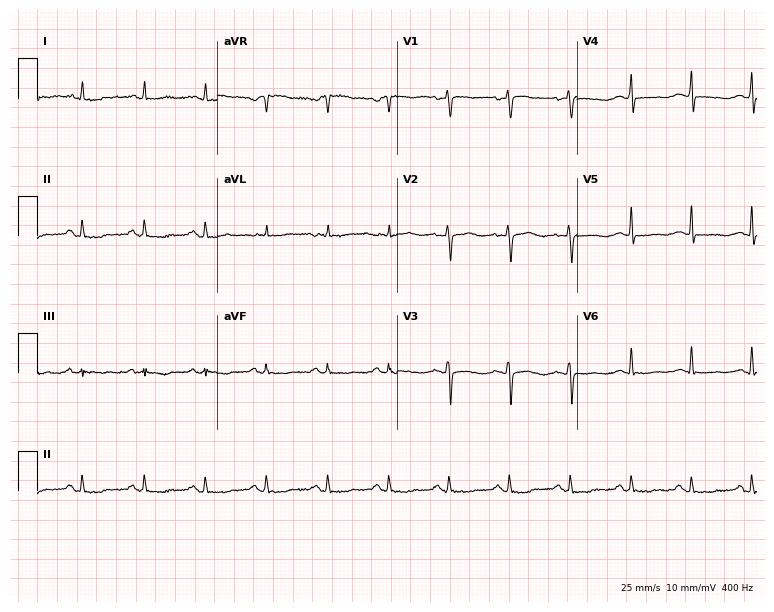
Electrocardiogram (7.3-second recording at 400 Hz), a 43-year-old woman. Of the six screened findings (first-degree AV block, right bundle branch block, left bundle branch block, sinus bradycardia, atrial fibrillation, sinus tachycardia), none is recorded. Findings outside these six are not listed.